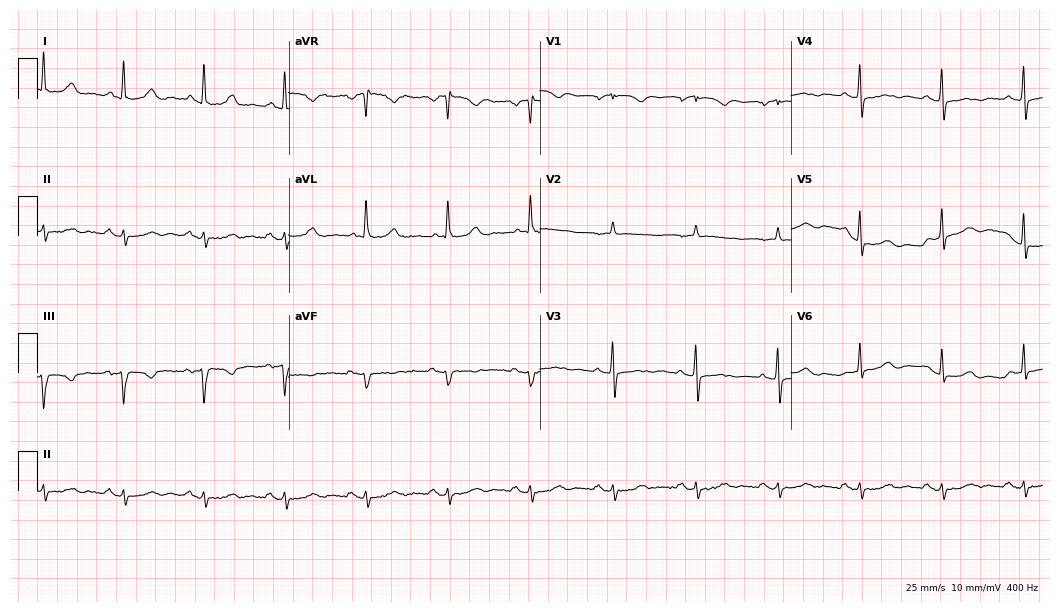
12-lead ECG from a 69-year-old woman (10.2-second recording at 400 Hz). Recorded interpretation: within normal limits.